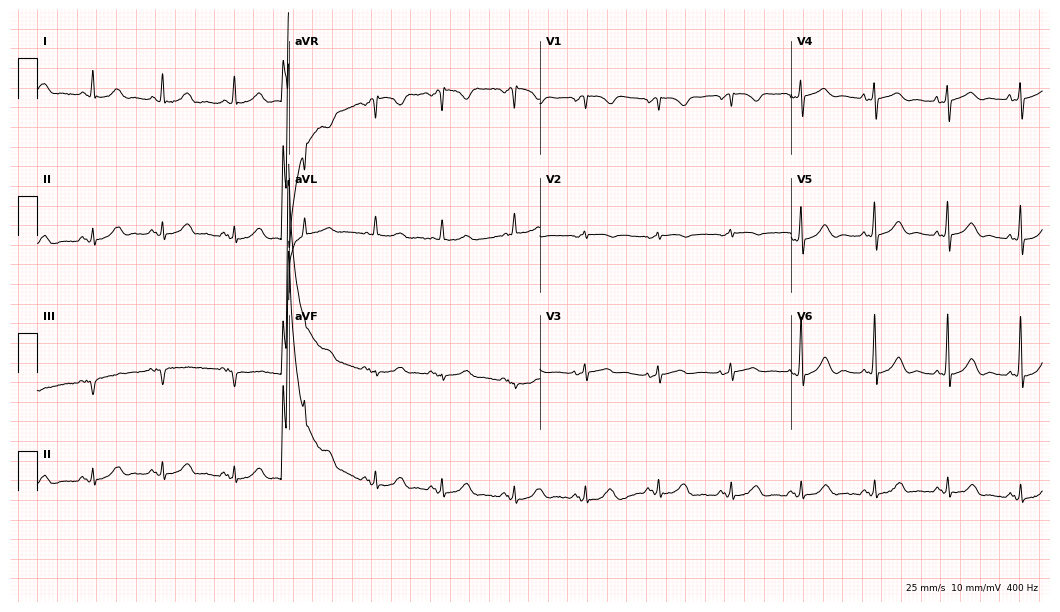
ECG — a 75-year-old male patient. Labelled as a normal ECG.